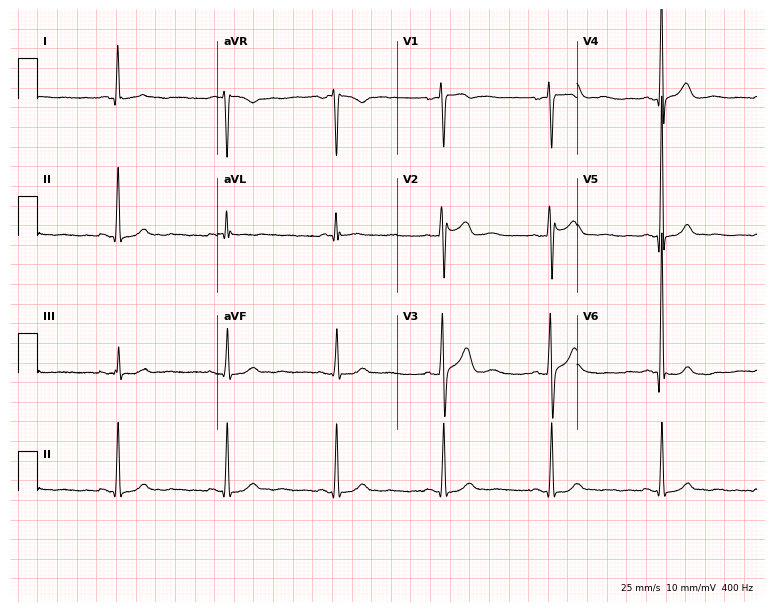
12-lead ECG from a man, 62 years old. Recorded interpretation: within normal limits.